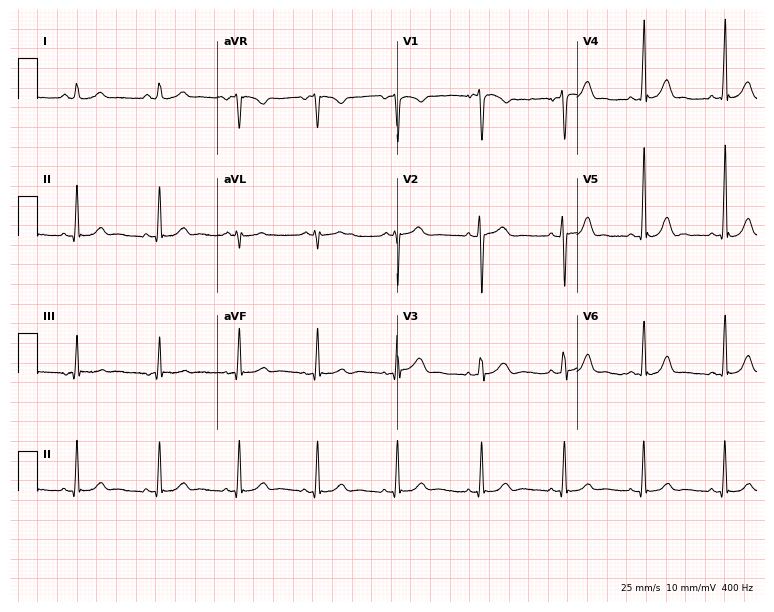
Electrocardiogram (7.3-second recording at 400 Hz), a male patient, 33 years old. Overall reading on record: normal ECG.